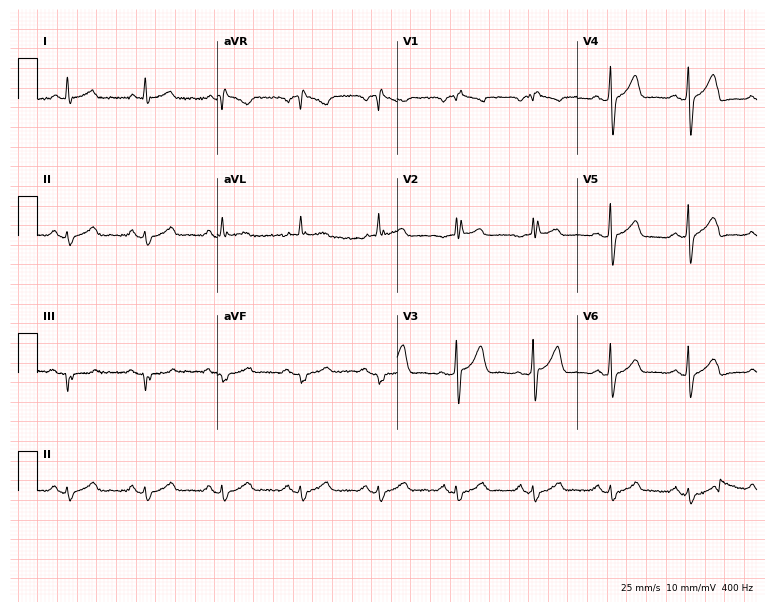
Standard 12-lead ECG recorded from a male patient, 71 years old. None of these six findings is recorded: first-degree AV block, right bundle branch block (RBBB), left bundle branch block (LBBB), sinus bradycardia, atrial fibrillation (AF), sinus tachycardia. Only these six findings were labelled.